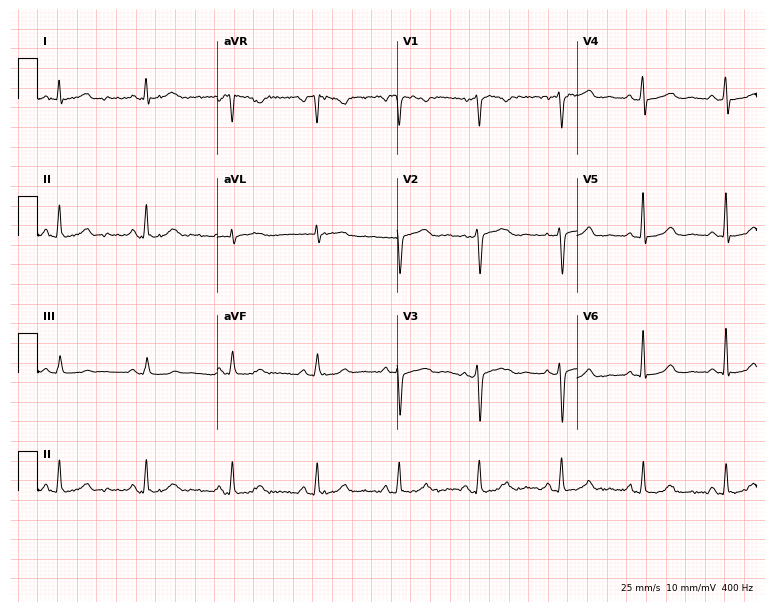
12-lead ECG from a 56-year-old female patient. No first-degree AV block, right bundle branch block, left bundle branch block, sinus bradycardia, atrial fibrillation or sinus tachycardia recorded for this tracing. Only these six findings were labelled.